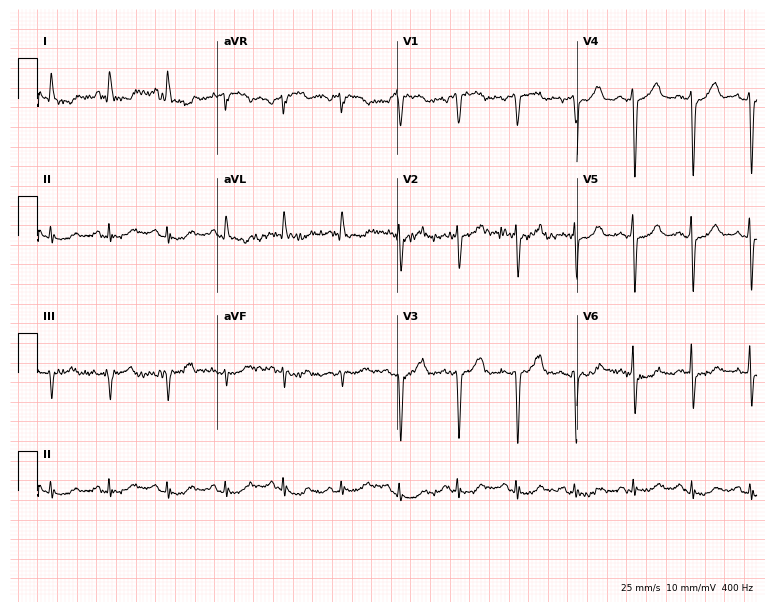
12-lead ECG from a 72-year-old female patient. Screened for six findings — first-degree AV block, right bundle branch block, left bundle branch block, sinus bradycardia, atrial fibrillation, sinus tachycardia — none is recorded. Other findings, if any, are not listed.